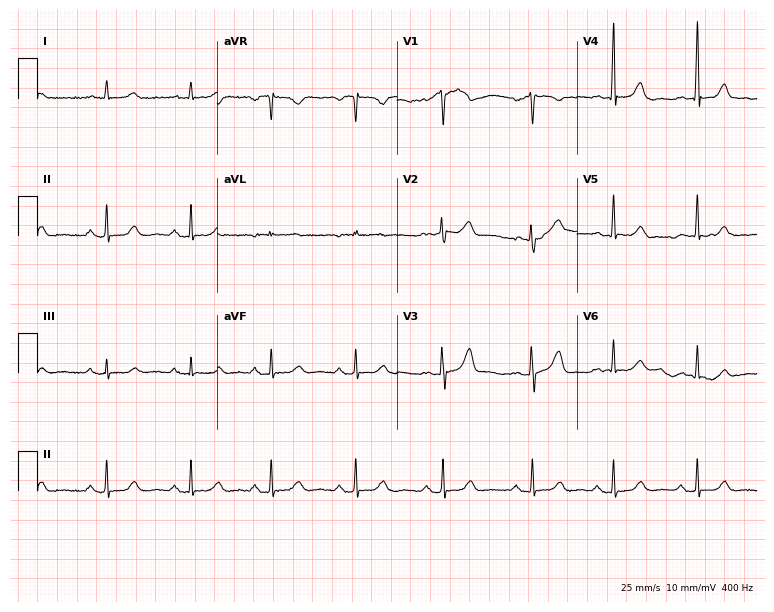
Standard 12-lead ECG recorded from a 33-year-old woman. Read as a normal ECG.